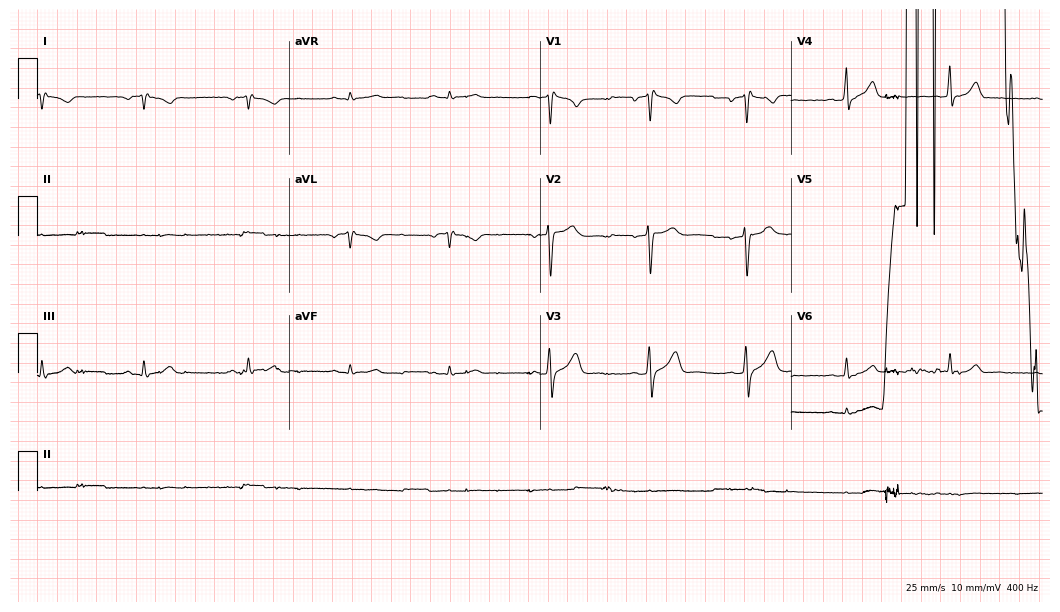
Electrocardiogram (10.2-second recording at 400 Hz), a 44-year-old male patient. Of the six screened findings (first-degree AV block, right bundle branch block, left bundle branch block, sinus bradycardia, atrial fibrillation, sinus tachycardia), none is recorded.